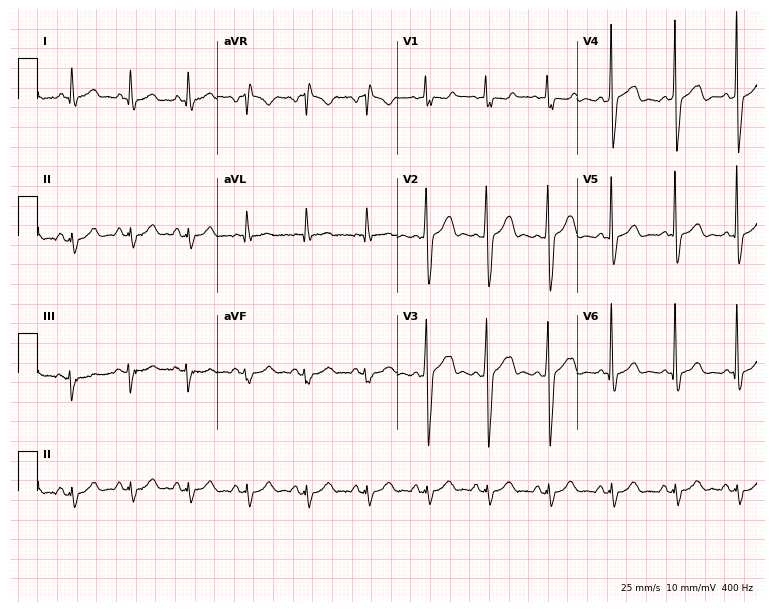
Electrocardiogram, a 49-year-old man. Of the six screened findings (first-degree AV block, right bundle branch block (RBBB), left bundle branch block (LBBB), sinus bradycardia, atrial fibrillation (AF), sinus tachycardia), none is recorded.